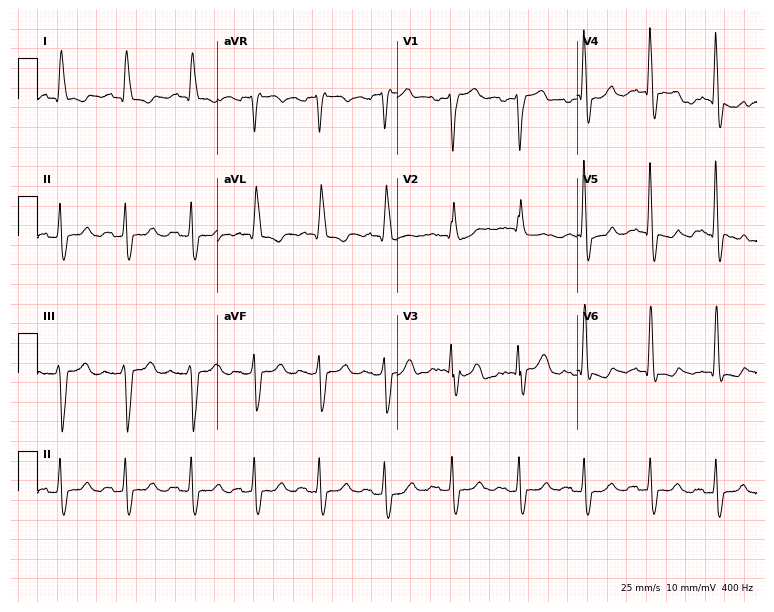
ECG (7.3-second recording at 400 Hz) — a man, 89 years old. Findings include left bundle branch block.